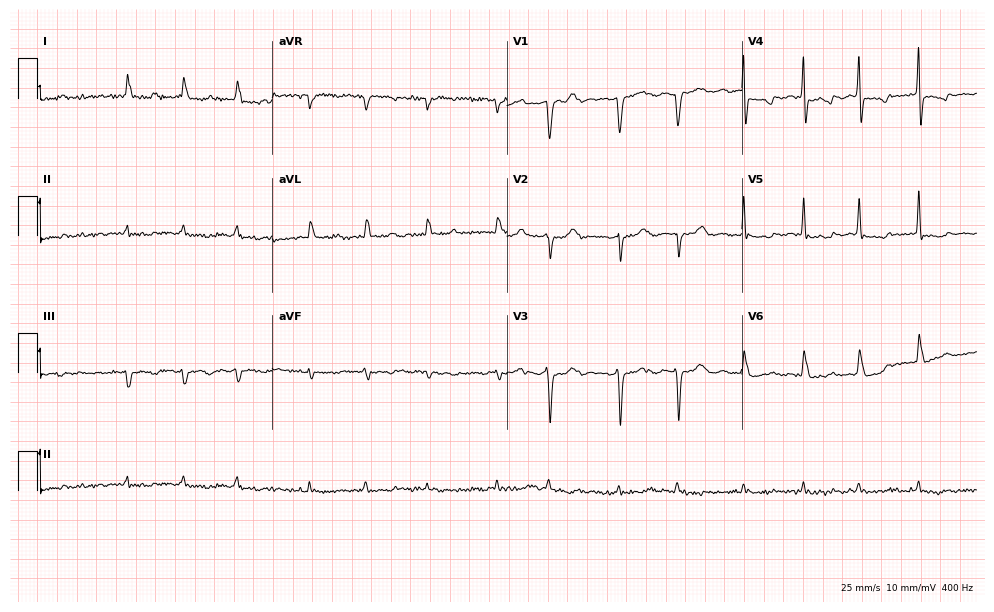
12-lead ECG from a female patient, 84 years old. Shows atrial fibrillation.